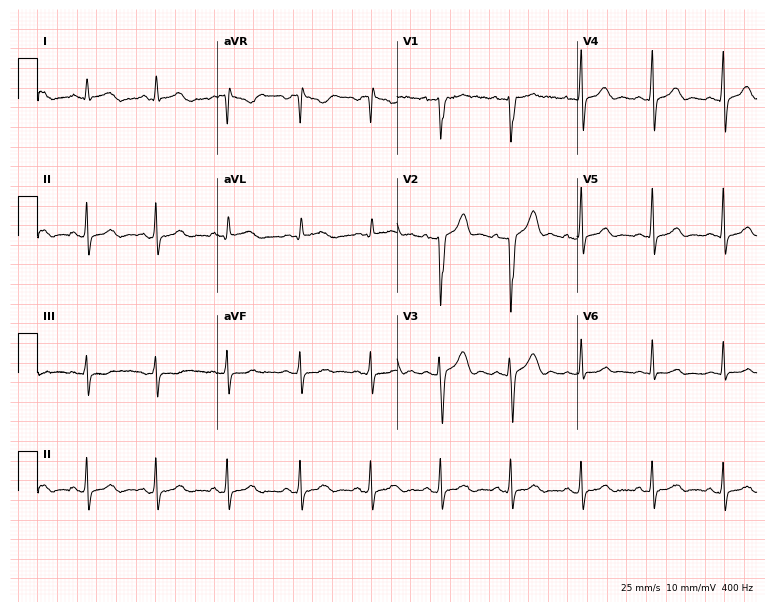
Standard 12-lead ECG recorded from a male, 36 years old. Read as a normal ECG.